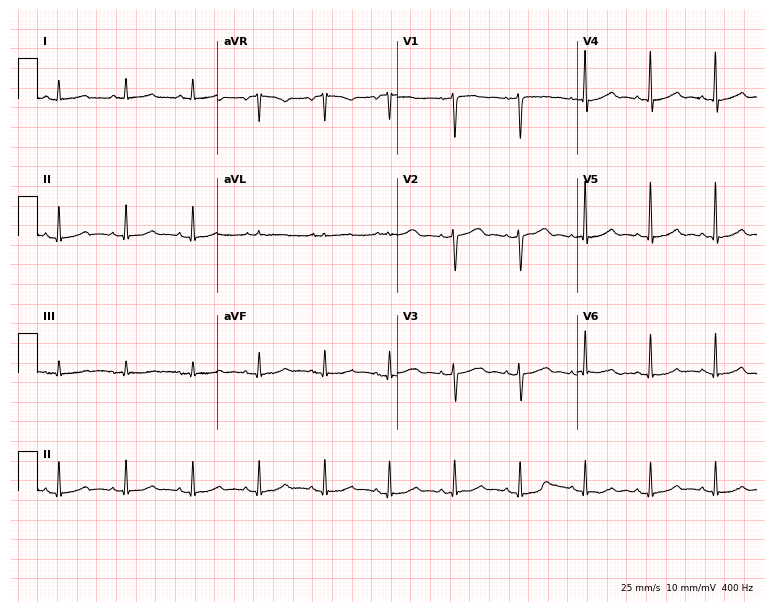
12-lead ECG (7.3-second recording at 400 Hz) from a female patient, 54 years old. Screened for six findings — first-degree AV block, right bundle branch block, left bundle branch block, sinus bradycardia, atrial fibrillation, sinus tachycardia — none is recorded. Findings outside these six are not listed.